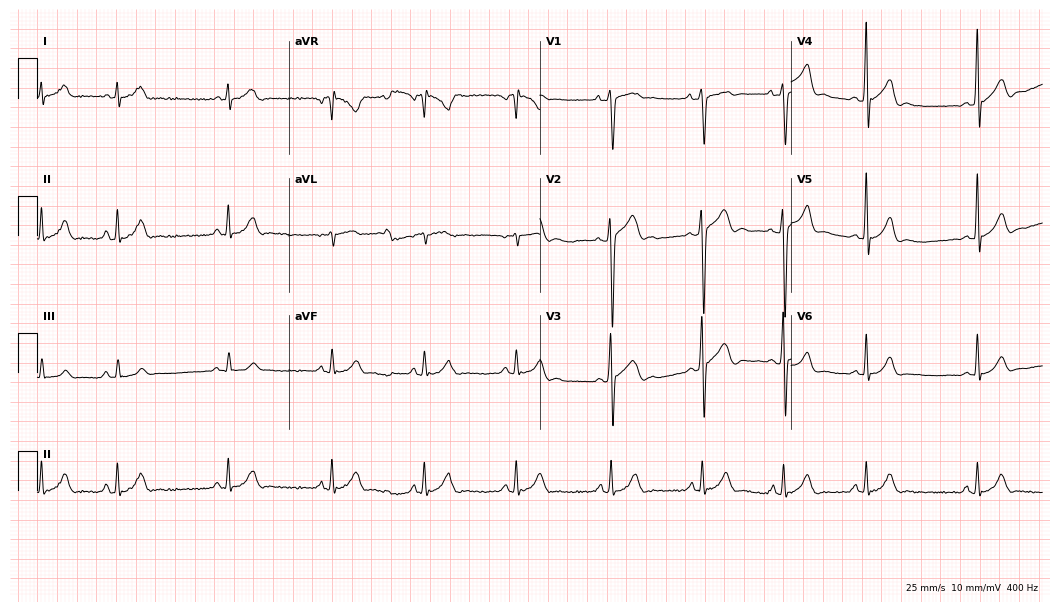
Standard 12-lead ECG recorded from a man, 17 years old (10.2-second recording at 400 Hz). Read as a normal ECG.